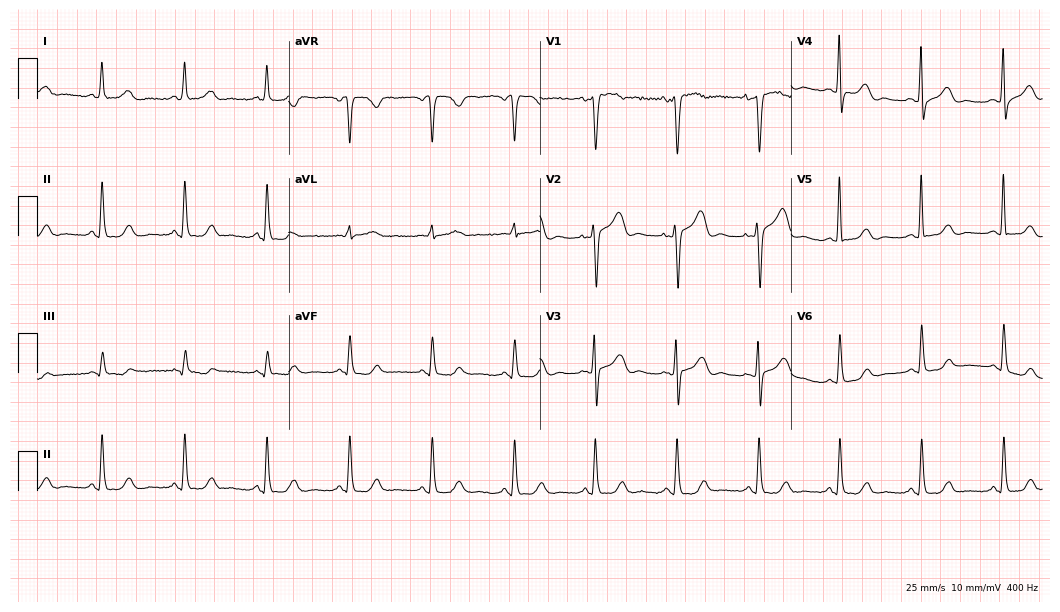
12-lead ECG from a female, 58 years old. Recorded interpretation: within normal limits.